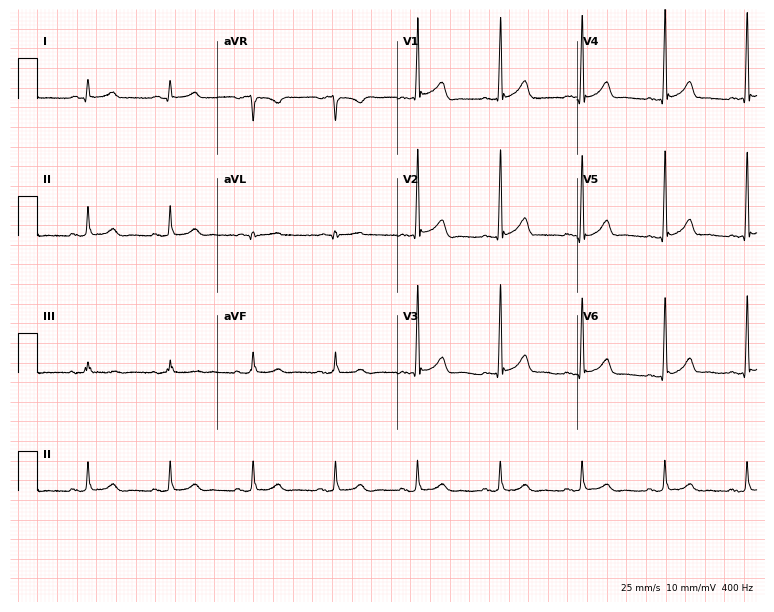
Standard 12-lead ECG recorded from a male patient, 58 years old (7.3-second recording at 400 Hz). None of these six findings is recorded: first-degree AV block, right bundle branch block, left bundle branch block, sinus bradycardia, atrial fibrillation, sinus tachycardia. Findings outside these six are not listed.